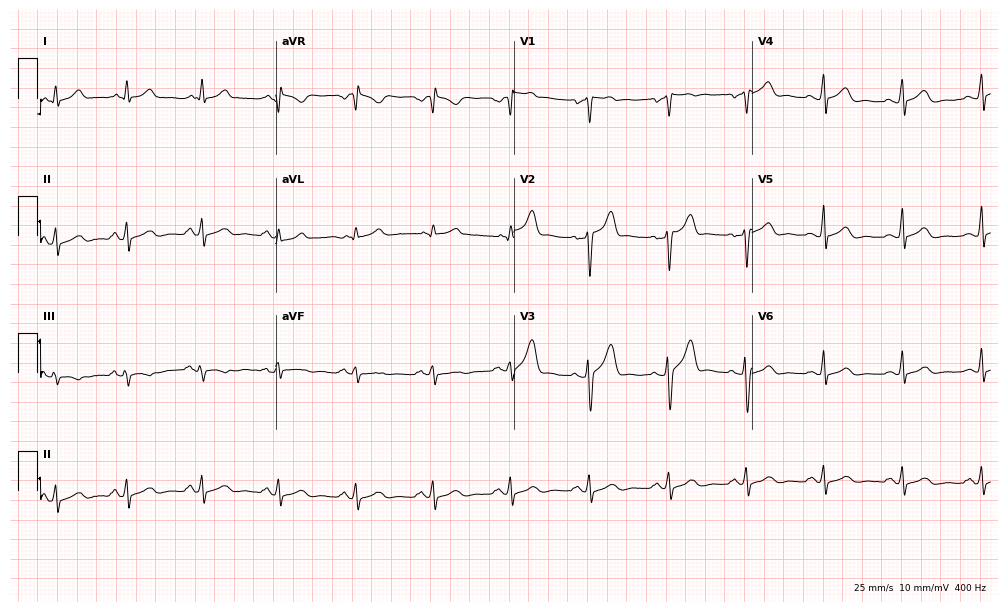
Standard 12-lead ECG recorded from a 26-year-old male patient. Read as a normal ECG.